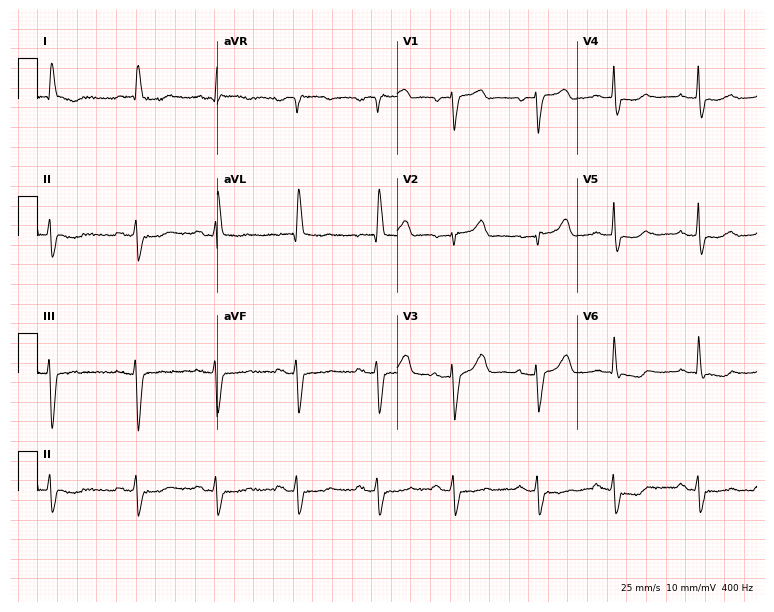
12-lead ECG (7.3-second recording at 400 Hz) from a male, 44 years old. Screened for six findings — first-degree AV block, right bundle branch block, left bundle branch block, sinus bradycardia, atrial fibrillation, sinus tachycardia — none is recorded.